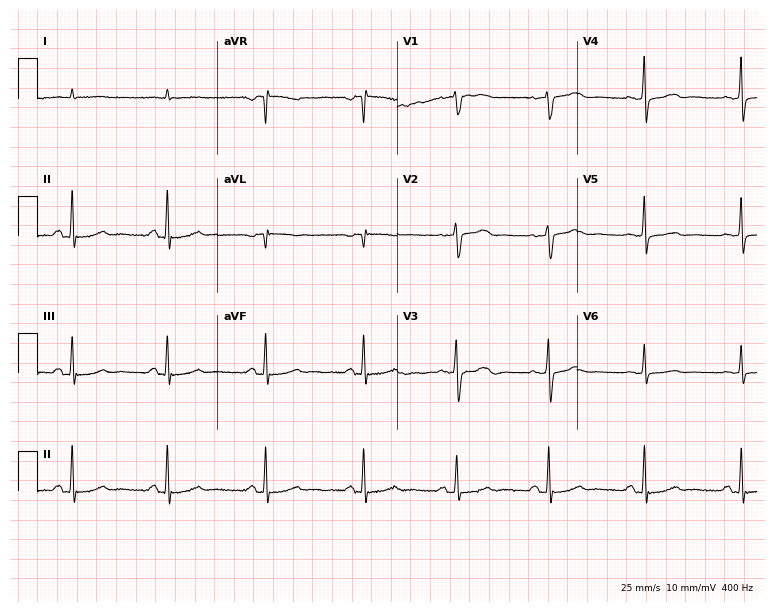
Resting 12-lead electrocardiogram (7.3-second recording at 400 Hz). Patient: a male, 81 years old. Read as a normal ECG.